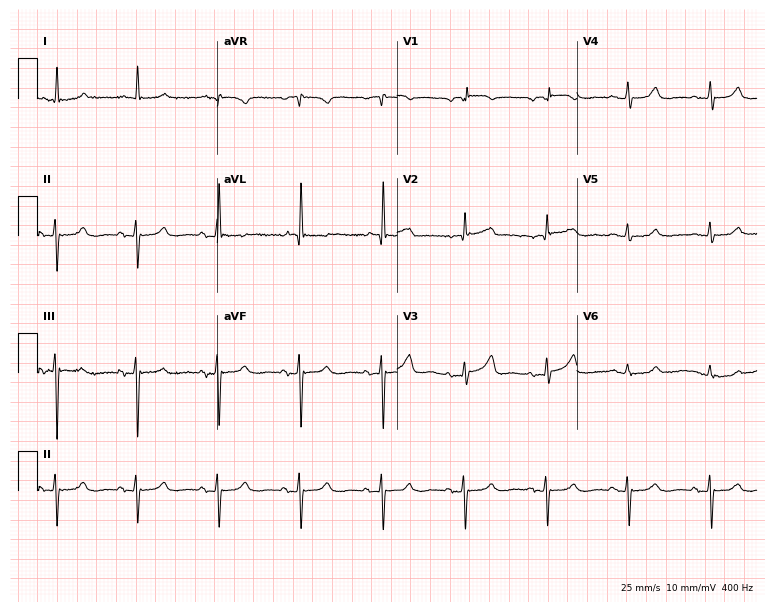
12-lead ECG from a male, 79 years old (7.3-second recording at 400 Hz). No first-degree AV block, right bundle branch block, left bundle branch block, sinus bradycardia, atrial fibrillation or sinus tachycardia recorded for this tracing. Findings outside these six are not listed.